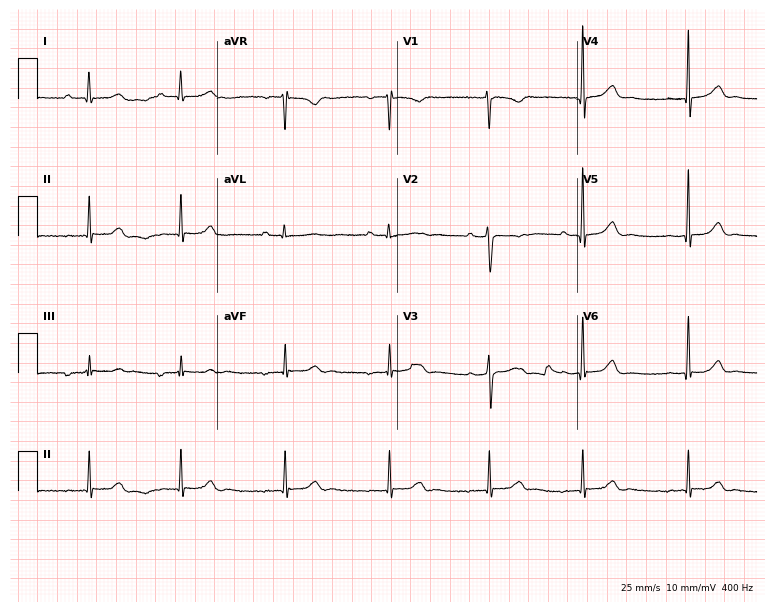
Standard 12-lead ECG recorded from a female, 25 years old. Read as a normal ECG.